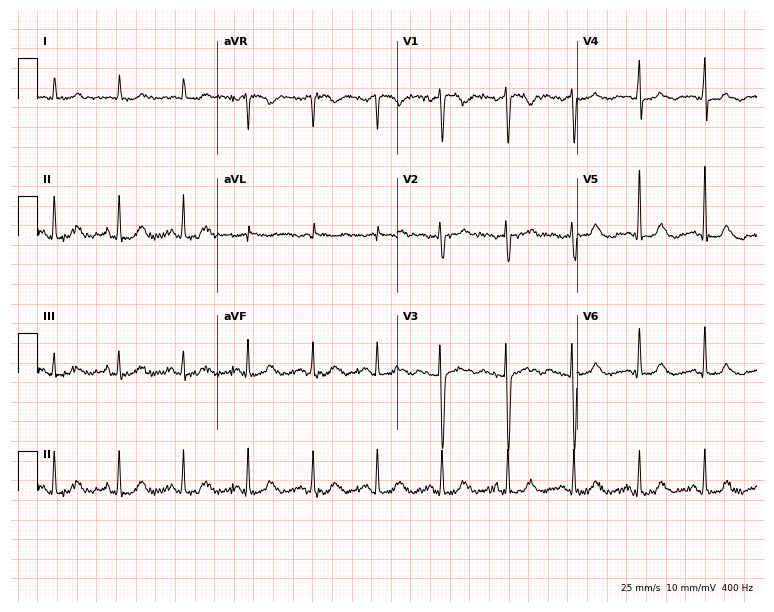
ECG — a woman, 72 years old. Screened for six findings — first-degree AV block, right bundle branch block, left bundle branch block, sinus bradycardia, atrial fibrillation, sinus tachycardia — none is recorded.